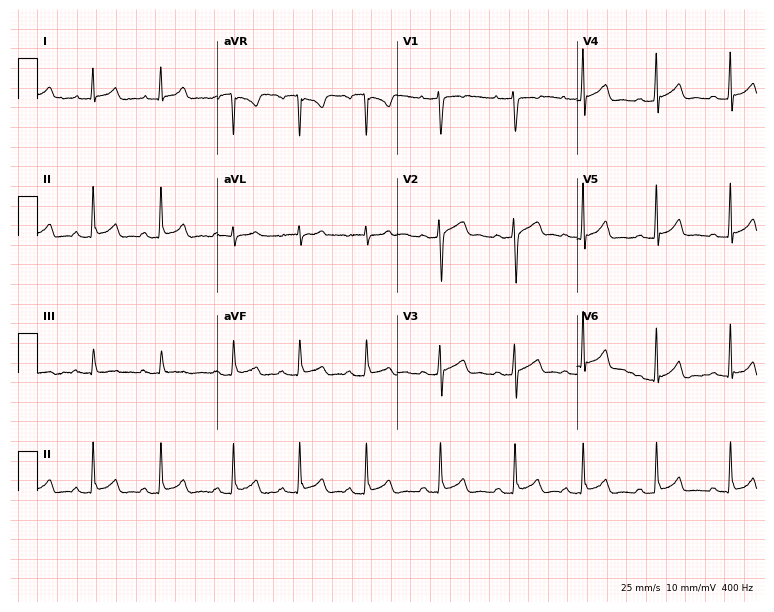
12-lead ECG from a woman, 22 years old. Recorded interpretation: within normal limits.